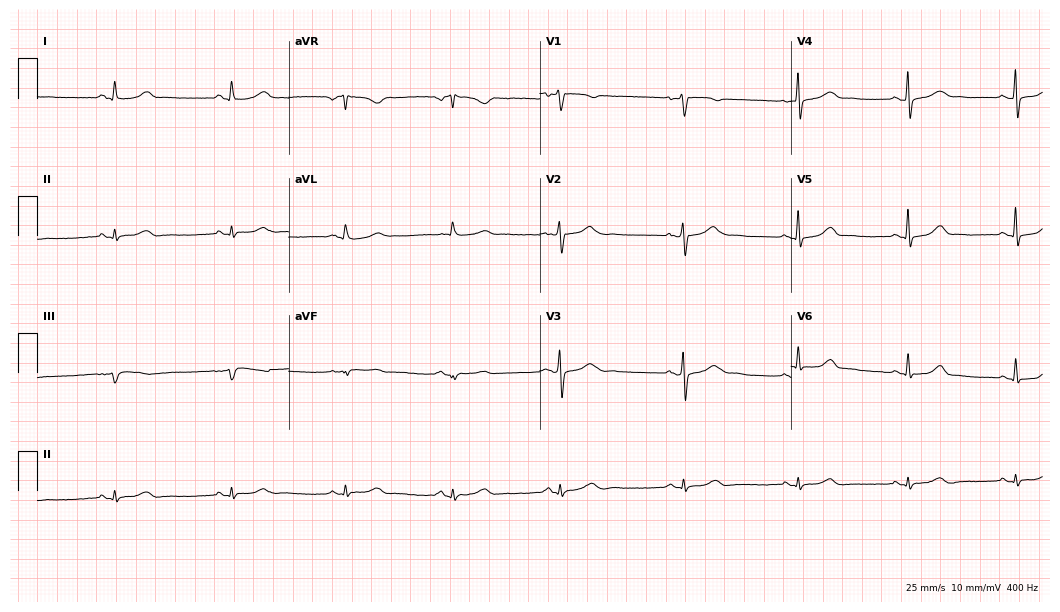
Standard 12-lead ECG recorded from a female, 51 years old (10.2-second recording at 400 Hz). None of these six findings is recorded: first-degree AV block, right bundle branch block, left bundle branch block, sinus bradycardia, atrial fibrillation, sinus tachycardia.